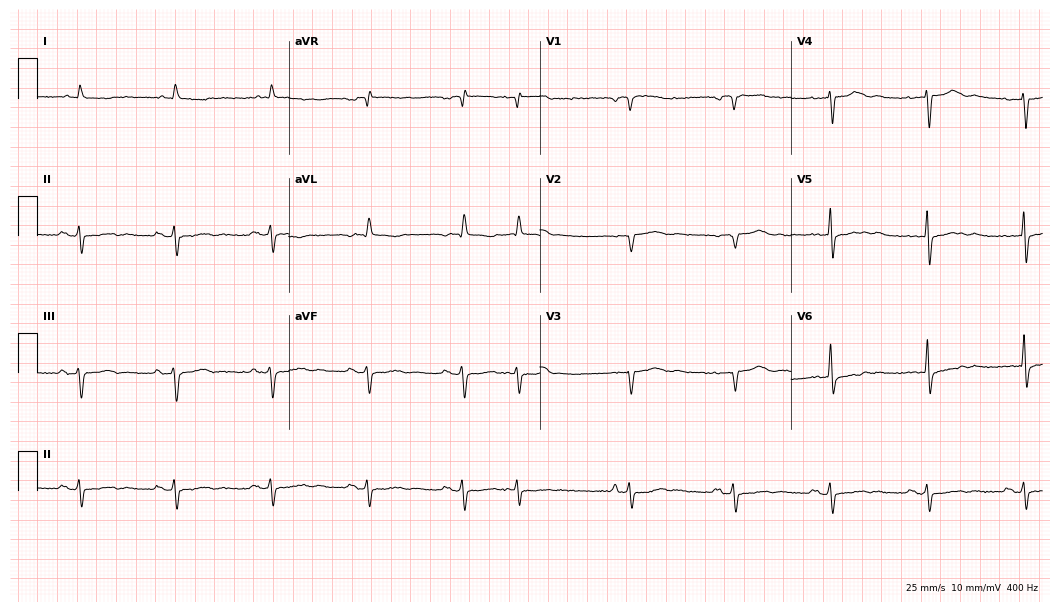
Standard 12-lead ECG recorded from an 84-year-old male patient. None of these six findings is recorded: first-degree AV block, right bundle branch block, left bundle branch block, sinus bradycardia, atrial fibrillation, sinus tachycardia.